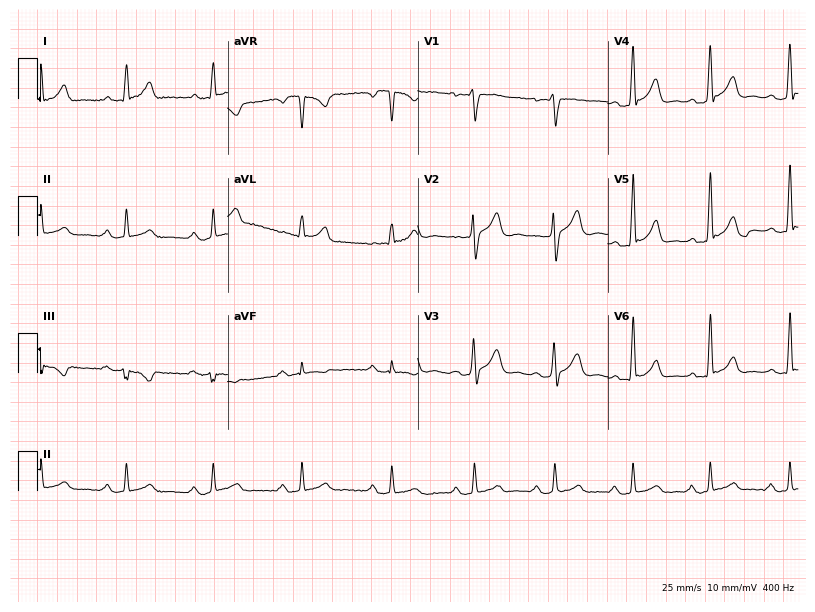
12-lead ECG (7.8-second recording at 400 Hz) from a man, 34 years old. Labelled as a normal ECG.